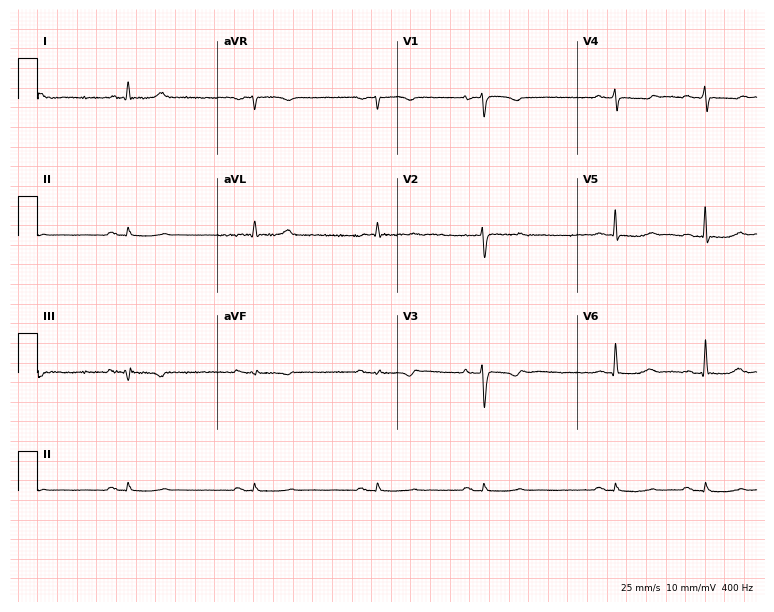
Electrocardiogram (7.3-second recording at 400 Hz), a female, 59 years old. Interpretation includes sinus bradycardia (a sinus rate of 50 beats per minute or less).